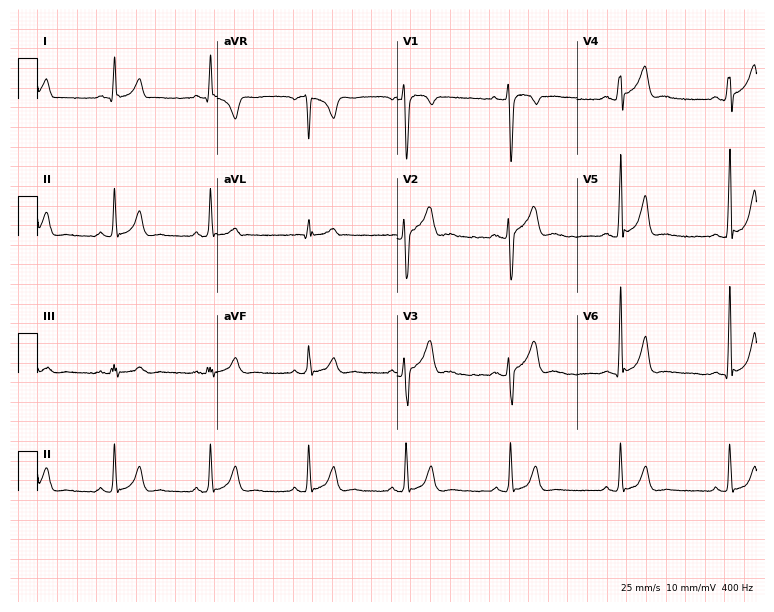
Resting 12-lead electrocardiogram. Patient: a 25-year-old male. None of these six findings is recorded: first-degree AV block, right bundle branch block, left bundle branch block, sinus bradycardia, atrial fibrillation, sinus tachycardia. Other findings, if any, are not listed.